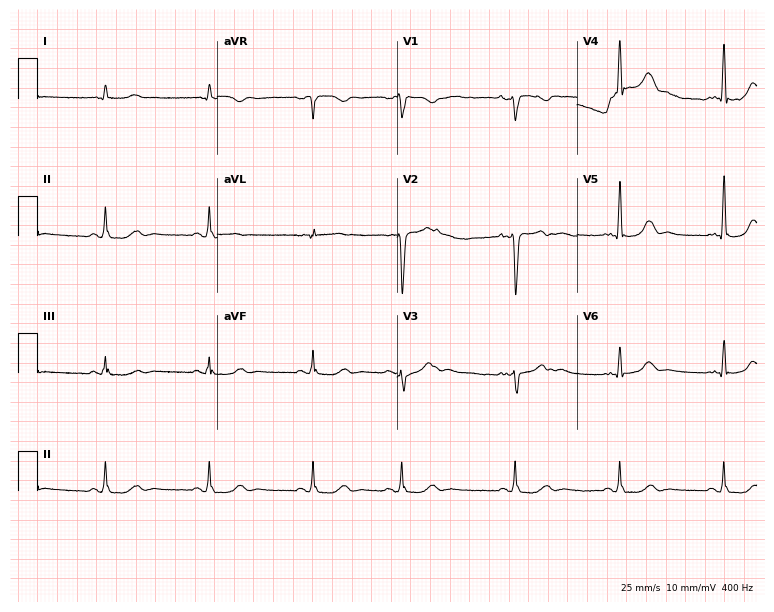
Electrocardiogram (7.3-second recording at 400 Hz), a 60-year-old female patient. Of the six screened findings (first-degree AV block, right bundle branch block (RBBB), left bundle branch block (LBBB), sinus bradycardia, atrial fibrillation (AF), sinus tachycardia), none is recorded.